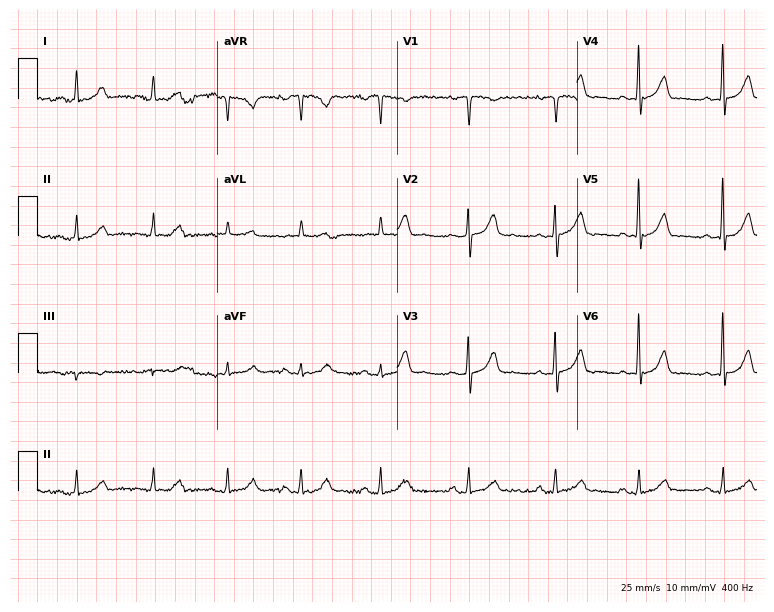
Standard 12-lead ECG recorded from a 34-year-old woman. Read as a normal ECG.